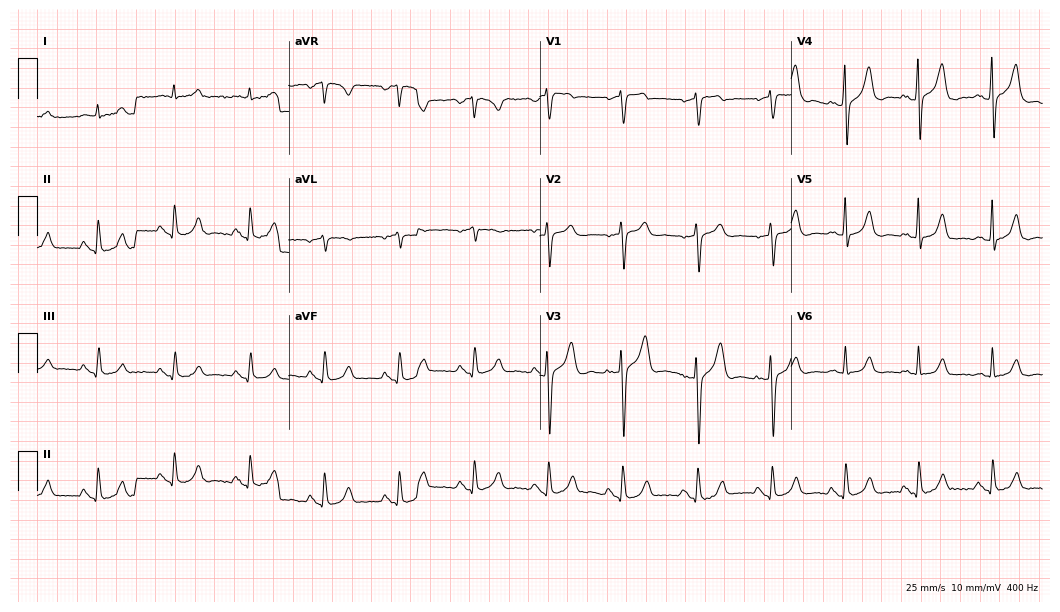
Standard 12-lead ECG recorded from a male, 74 years old (10.2-second recording at 400 Hz). Read as a normal ECG.